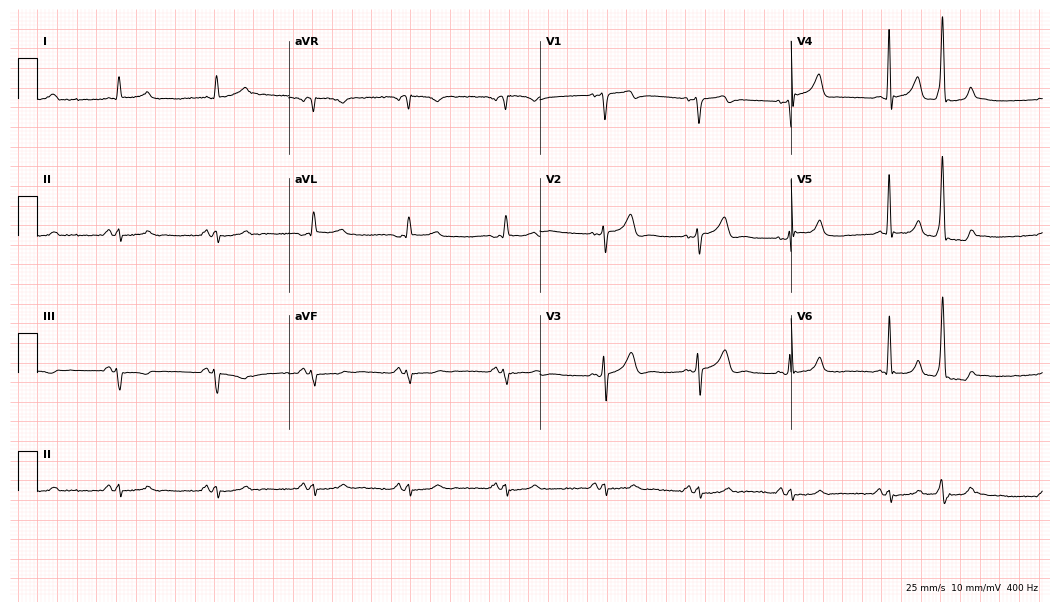
12-lead ECG from a 71-year-old male. No first-degree AV block, right bundle branch block (RBBB), left bundle branch block (LBBB), sinus bradycardia, atrial fibrillation (AF) or sinus tachycardia recorded for this tracing.